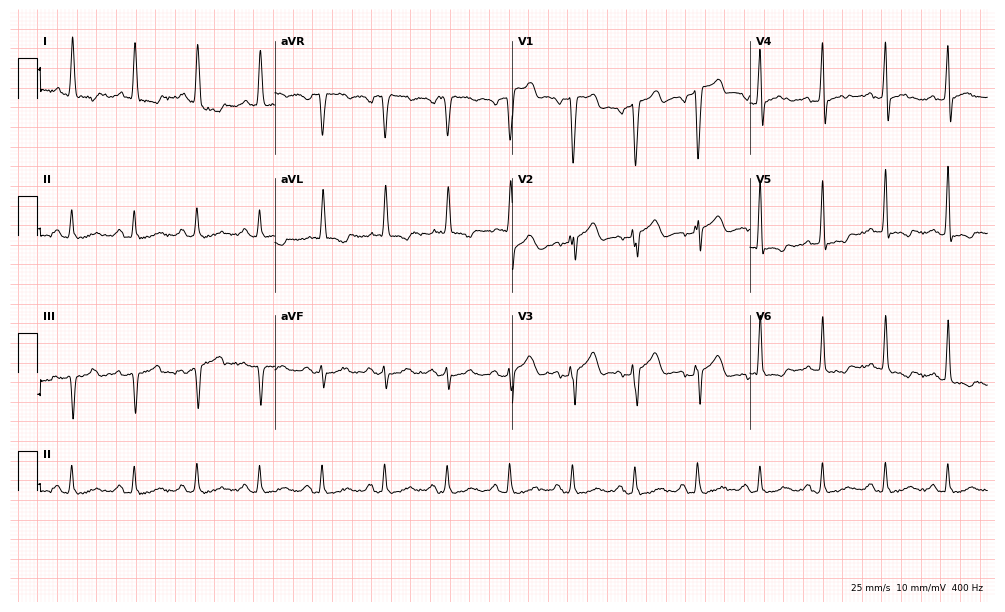
Standard 12-lead ECG recorded from a male, 81 years old (9.7-second recording at 400 Hz). None of these six findings is recorded: first-degree AV block, right bundle branch block (RBBB), left bundle branch block (LBBB), sinus bradycardia, atrial fibrillation (AF), sinus tachycardia. Other findings, if any, are not listed.